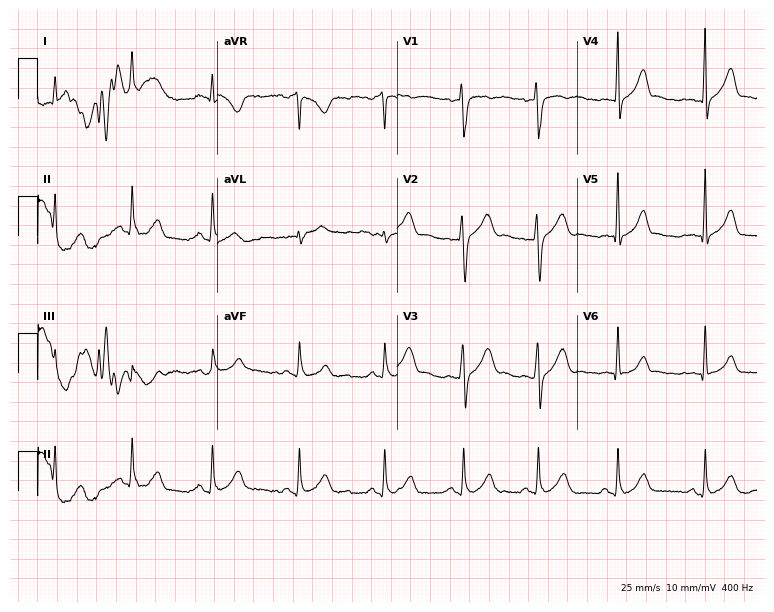
Standard 12-lead ECG recorded from a 40-year-old male patient. None of these six findings is recorded: first-degree AV block, right bundle branch block, left bundle branch block, sinus bradycardia, atrial fibrillation, sinus tachycardia.